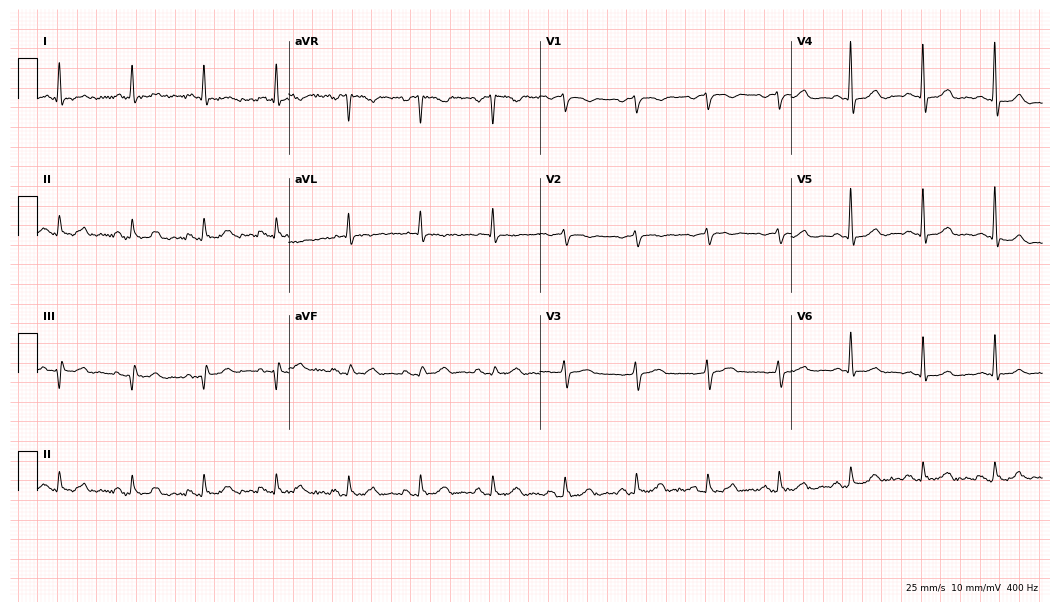
12-lead ECG from a 68-year-old male patient. Screened for six findings — first-degree AV block, right bundle branch block, left bundle branch block, sinus bradycardia, atrial fibrillation, sinus tachycardia — none is recorded.